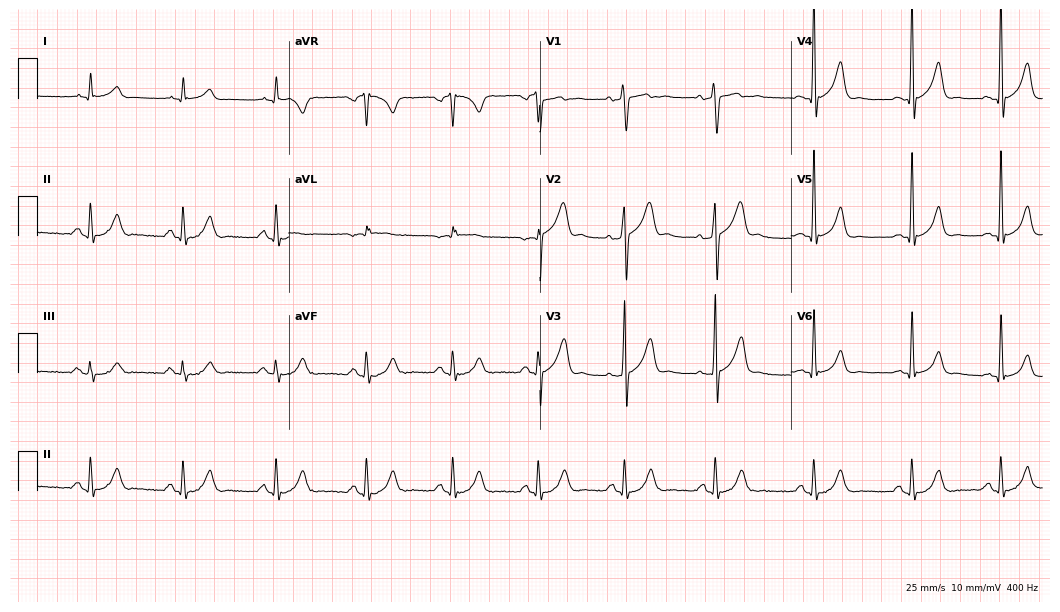
Electrocardiogram, a man, 60 years old. Of the six screened findings (first-degree AV block, right bundle branch block (RBBB), left bundle branch block (LBBB), sinus bradycardia, atrial fibrillation (AF), sinus tachycardia), none is recorded.